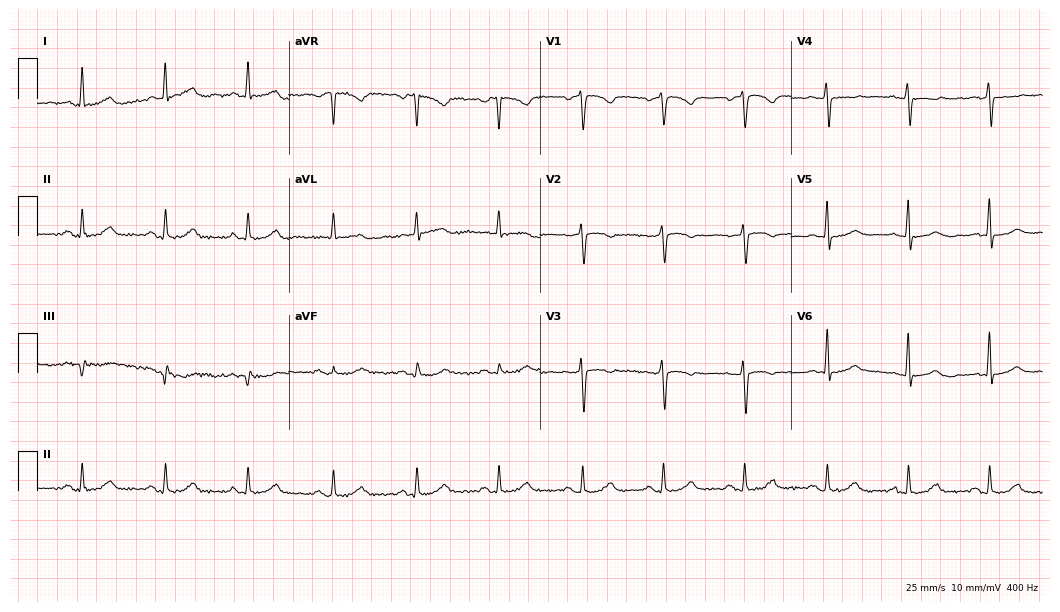
12-lead ECG from a female patient, 67 years old. Screened for six findings — first-degree AV block, right bundle branch block, left bundle branch block, sinus bradycardia, atrial fibrillation, sinus tachycardia — none is recorded. Findings outside these six are not listed.